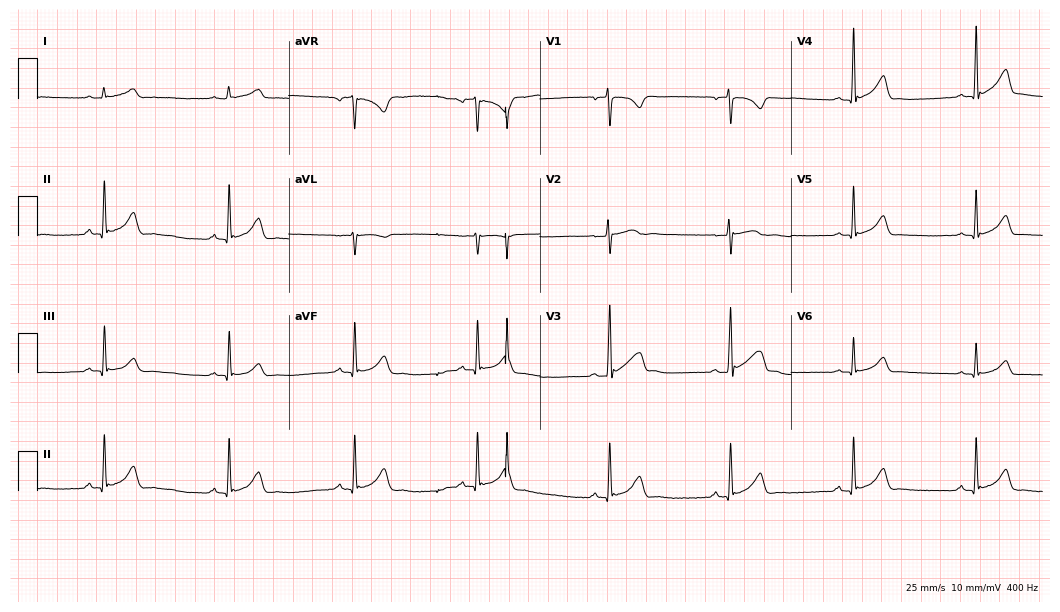
Resting 12-lead electrocardiogram. Patient: a 24-year-old man. Read as a normal ECG.